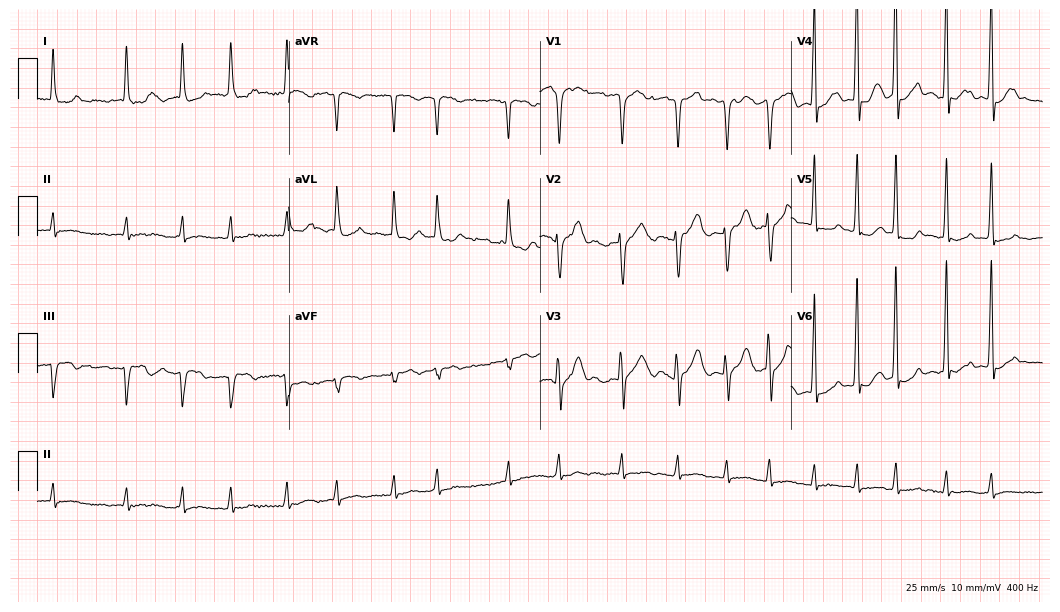
12-lead ECG (10.2-second recording at 400 Hz) from a male patient, 78 years old. Findings include atrial fibrillation.